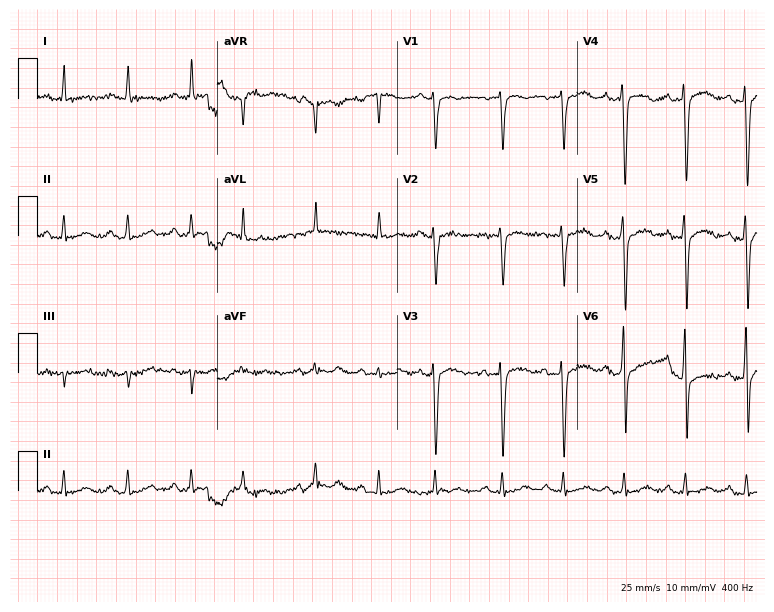
12-lead ECG from a male, 49 years old. Screened for six findings — first-degree AV block, right bundle branch block (RBBB), left bundle branch block (LBBB), sinus bradycardia, atrial fibrillation (AF), sinus tachycardia — none is recorded. Findings outside these six are not listed.